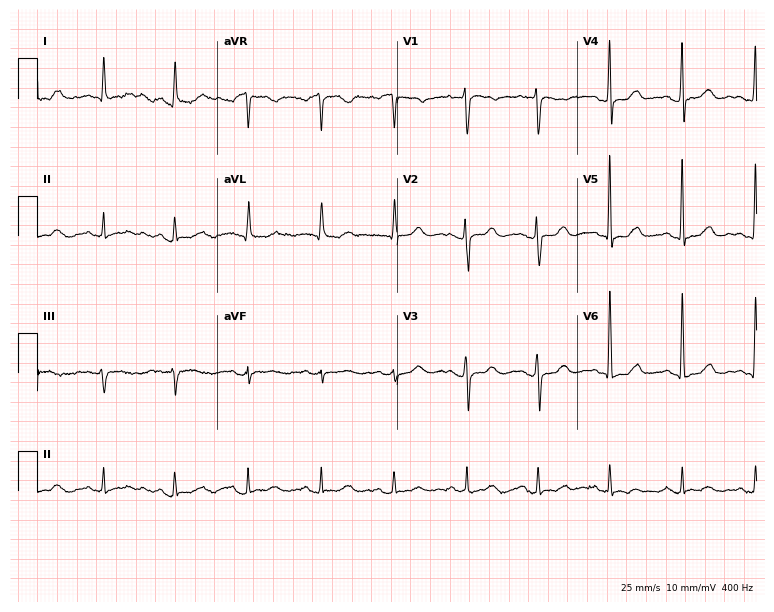
12-lead ECG from a female patient, 71 years old (7.3-second recording at 400 Hz). No first-degree AV block, right bundle branch block, left bundle branch block, sinus bradycardia, atrial fibrillation or sinus tachycardia recorded for this tracing. Other findings, if any, are not listed.